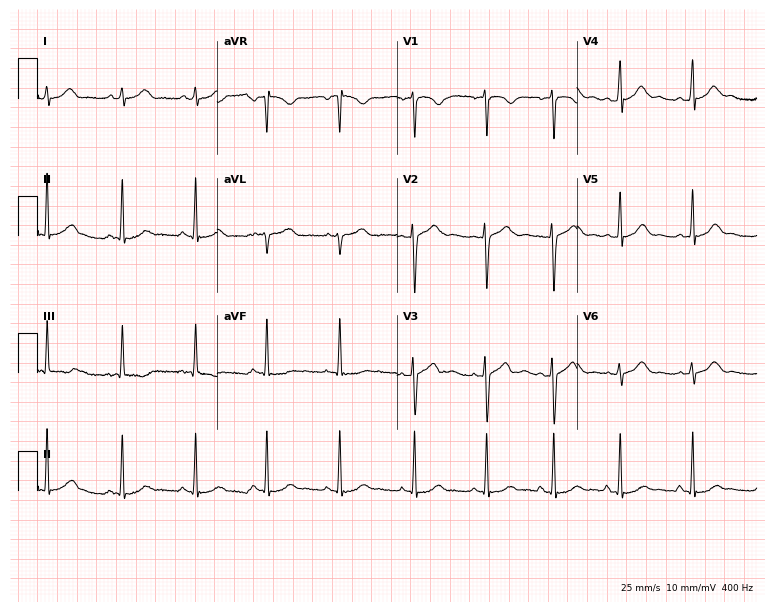
Standard 12-lead ECG recorded from a female patient, 22 years old (7.3-second recording at 400 Hz). None of these six findings is recorded: first-degree AV block, right bundle branch block, left bundle branch block, sinus bradycardia, atrial fibrillation, sinus tachycardia. Only these six findings were labelled.